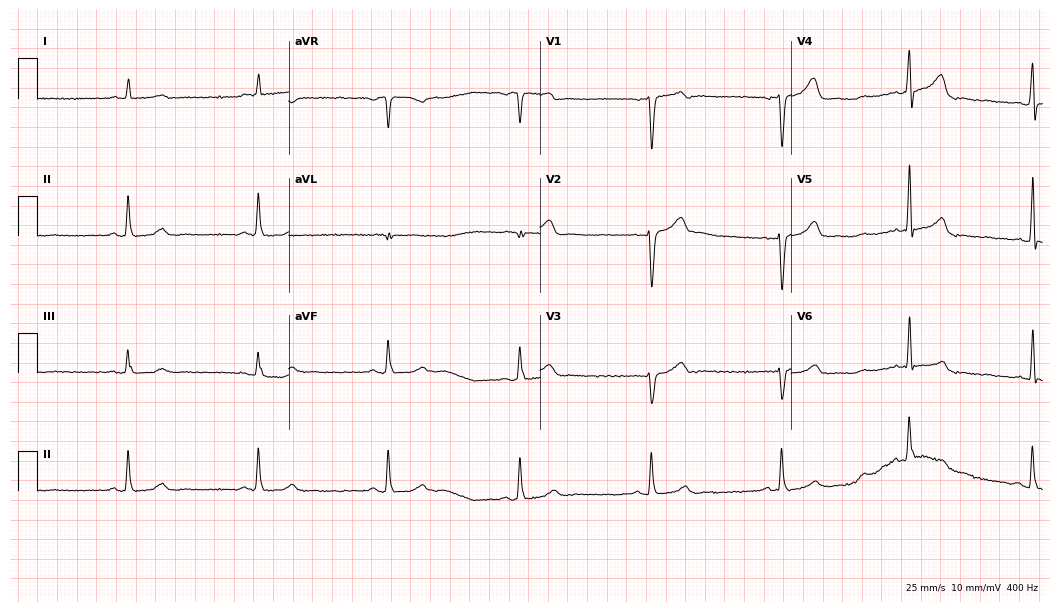
12-lead ECG from a 75-year-old male (10.2-second recording at 400 Hz). Shows sinus bradycardia (a sinus rate of 50 beats per minute or less).